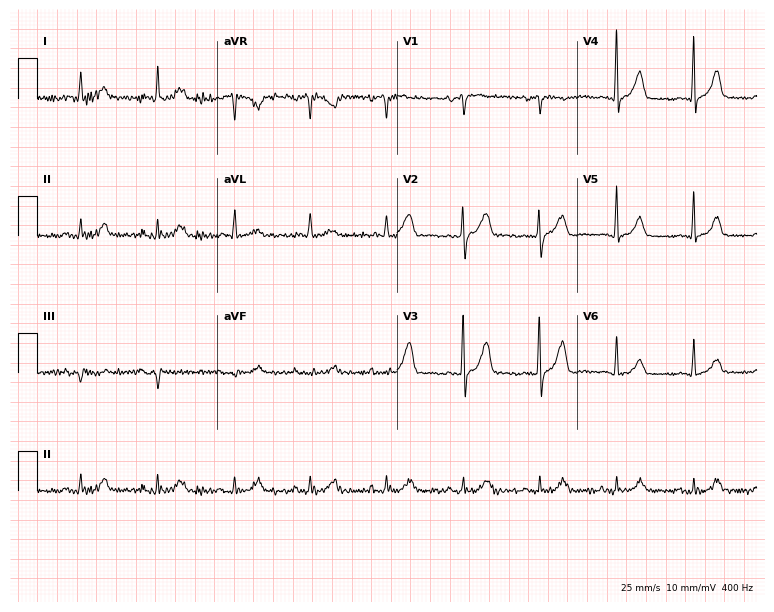
12-lead ECG from a 79-year-old woman. Screened for six findings — first-degree AV block, right bundle branch block, left bundle branch block, sinus bradycardia, atrial fibrillation, sinus tachycardia — none is recorded. Only these six findings were labelled.